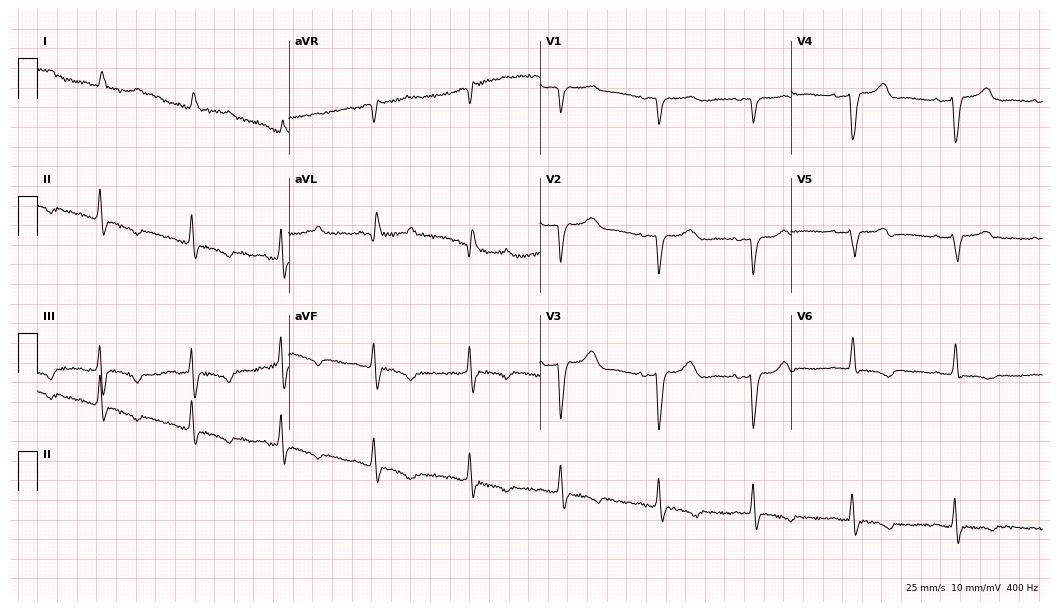
12-lead ECG from an 82-year-old woman (10.2-second recording at 400 Hz). No first-degree AV block, right bundle branch block, left bundle branch block, sinus bradycardia, atrial fibrillation or sinus tachycardia recorded for this tracing. Only these six findings were labelled.